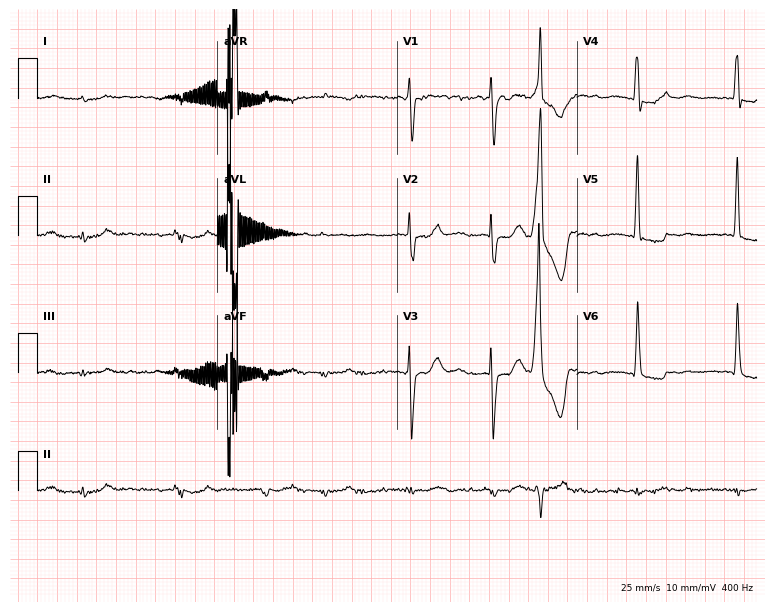
12-lead ECG from a 73-year-old male patient (7.3-second recording at 400 Hz). No first-degree AV block, right bundle branch block, left bundle branch block, sinus bradycardia, atrial fibrillation or sinus tachycardia recorded for this tracing.